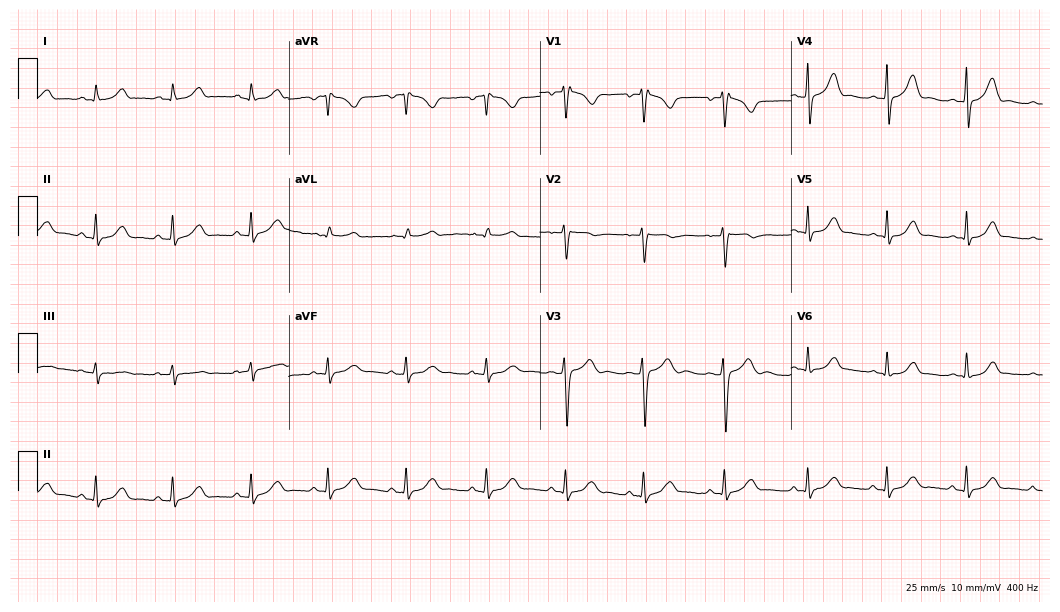
Electrocardiogram (10.2-second recording at 400 Hz), a woman, 24 years old. Overall reading on record: normal ECG.